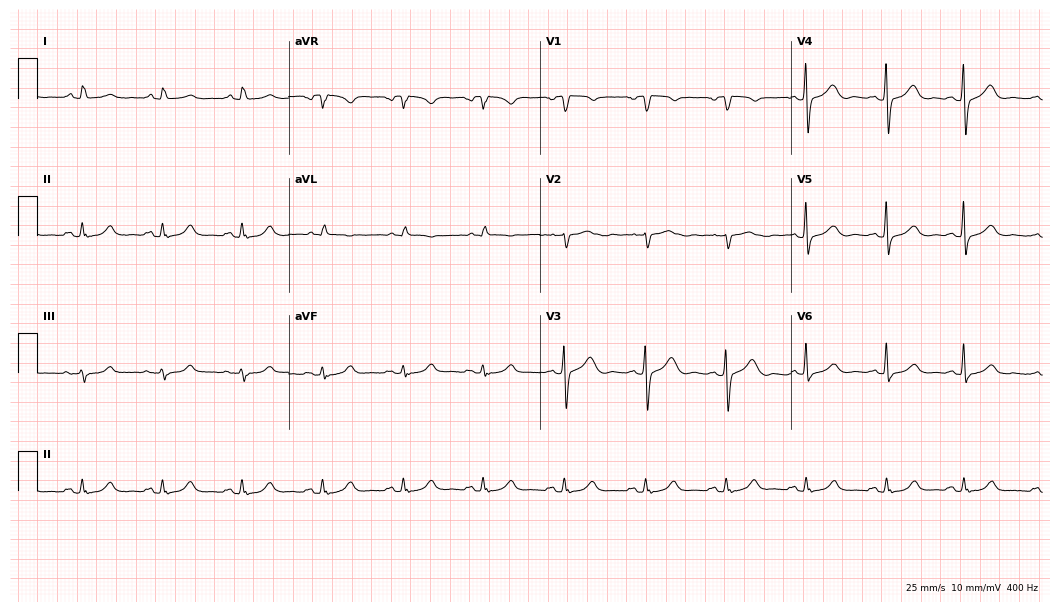
Electrocardiogram, a 74-year-old male. Overall reading on record: normal ECG.